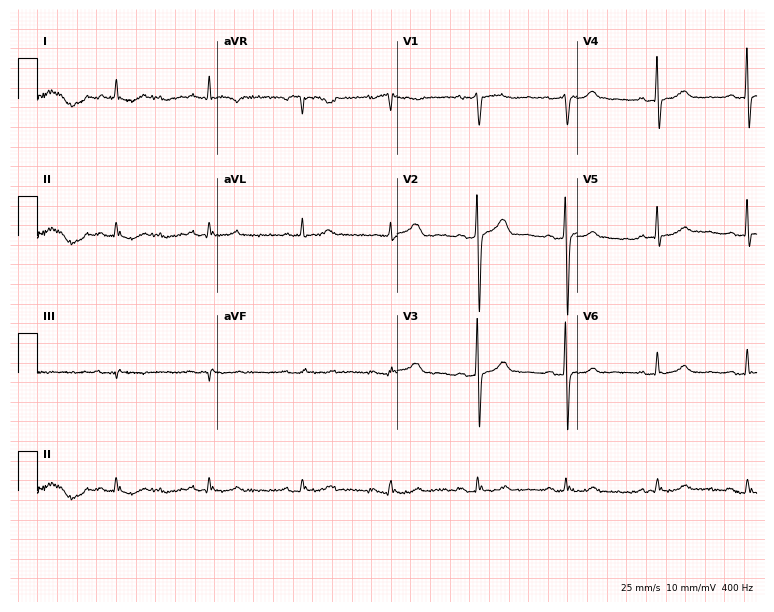
12-lead ECG from a 53-year-old man (7.3-second recording at 400 Hz). Recorded interpretation: within normal limits.